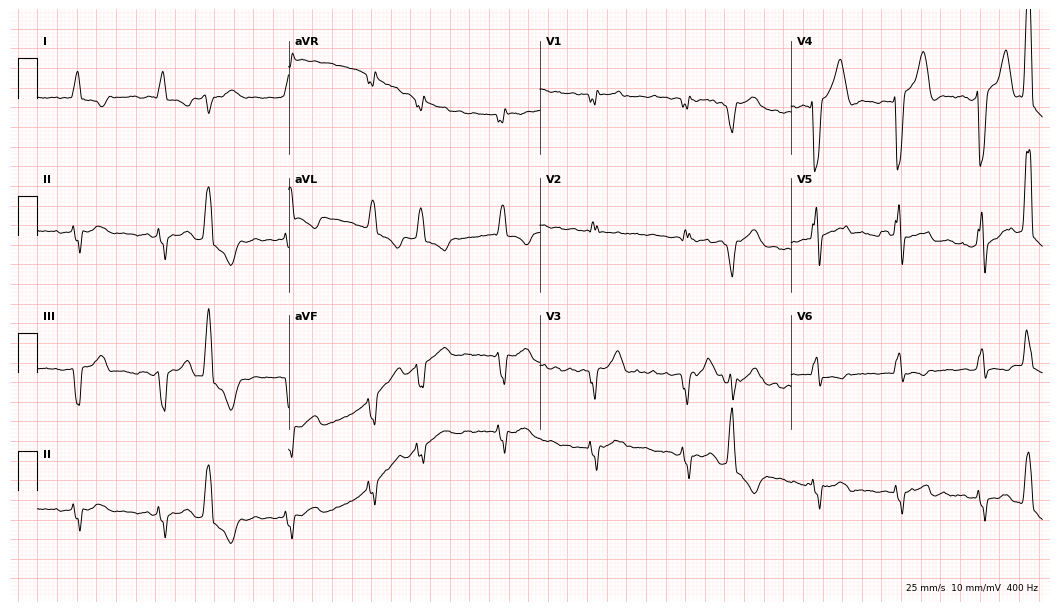
Electrocardiogram (10.2-second recording at 400 Hz), a 62-year-old male. Interpretation includes left bundle branch block, atrial fibrillation.